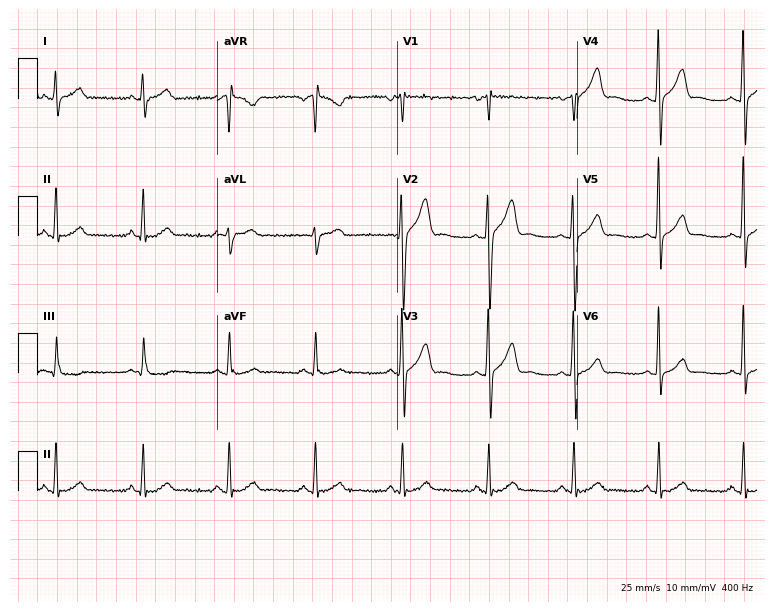
12-lead ECG from a male patient, 36 years old (7.3-second recording at 400 Hz). Recorded interpretation: within normal limits.